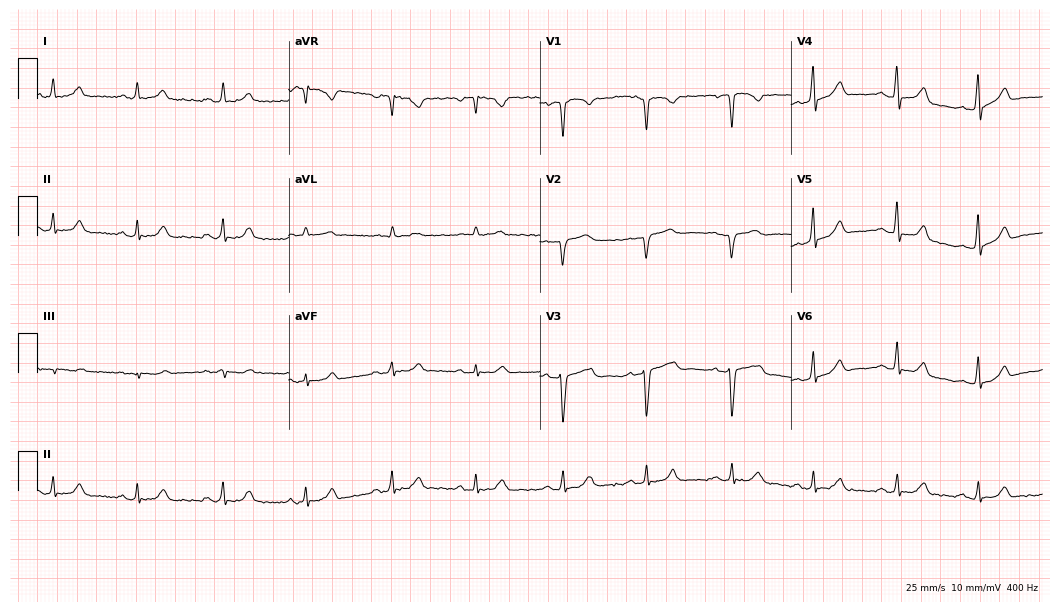
Resting 12-lead electrocardiogram (10.2-second recording at 400 Hz). Patient: a woman, 48 years old. None of these six findings is recorded: first-degree AV block, right bundle branch block (RBBB), left bundle branch block (LBBB), sinus bradycardia, atrial fibrillation (AF), sinus tachycardia.